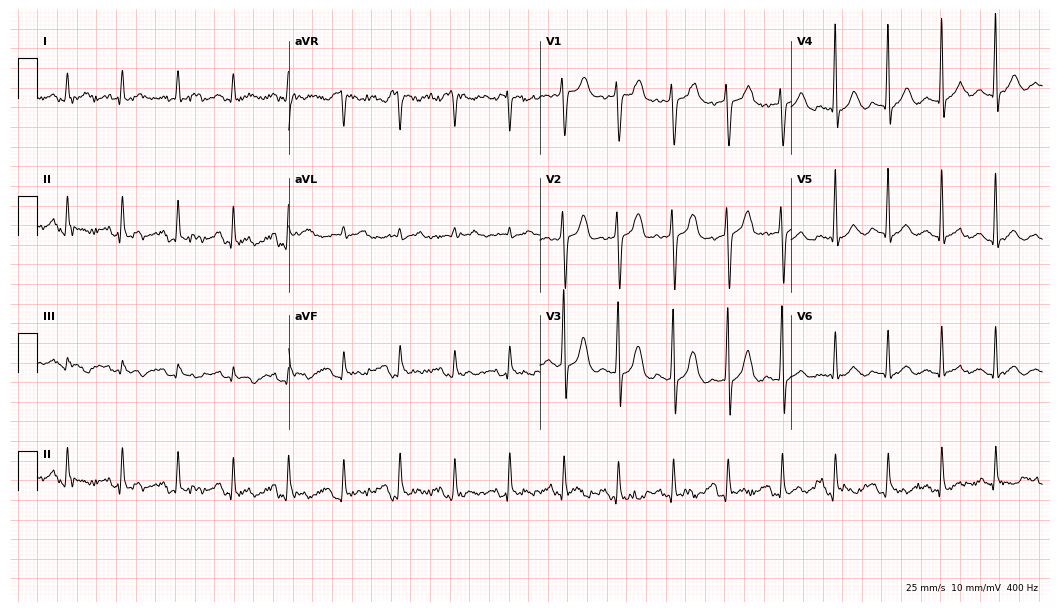
12-lead ECG from a 26-year-old male patient. Findings include sinus tachycardia (a sinus rate of 100 beats per minute or more).